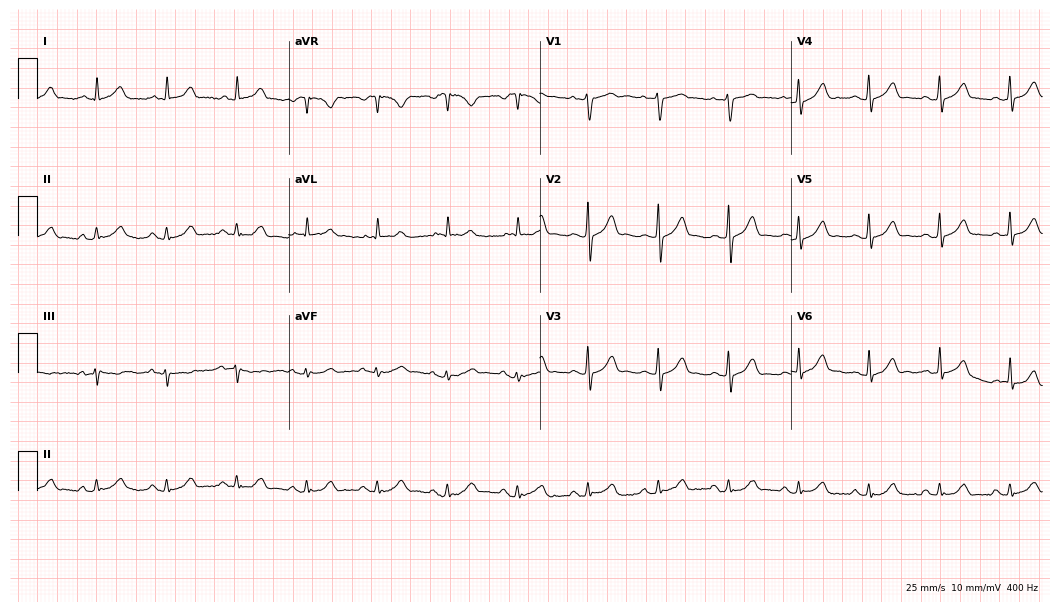
Standard 12-lead ECG recorded from a male patient, 81 years old. Read as a normal ECG.